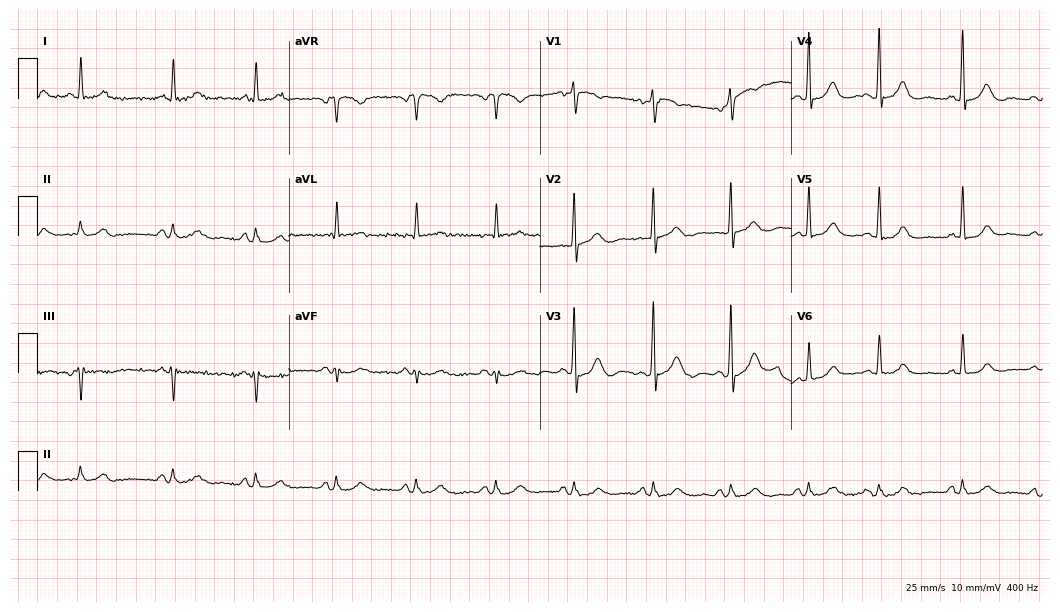
Electrocardiogram, a male patient, 85 years old. Of the six screened findings (first-degree AV block, right bundle branch block (RBBB), left bundle branch block (LBBB), sinus bradycardia, atrial fibrillation (AF), sinus tachycardia), none is recorded. Other findings, if any, are not listed.